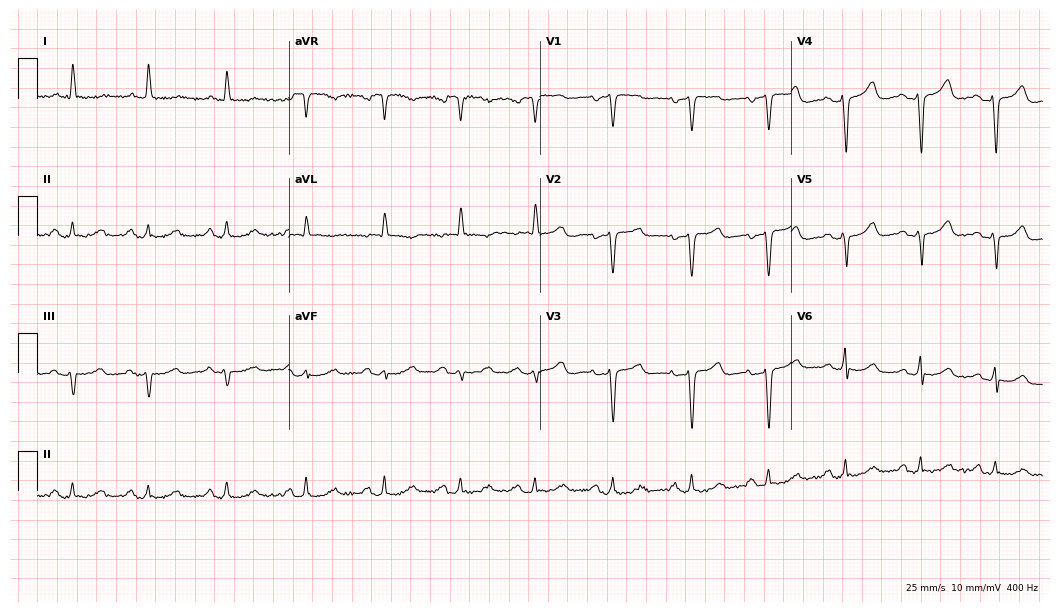
12-lead ECG (10.2-second recording at 400 Hz) from a female patient, 71 years old. Screened for six findings — first-degree AV block, right bundle branch block, left bundle branch block, sinus bradycardia, atrial fibrillation, sinus tachycardia — none is recorded. Only these six findings were labelled.